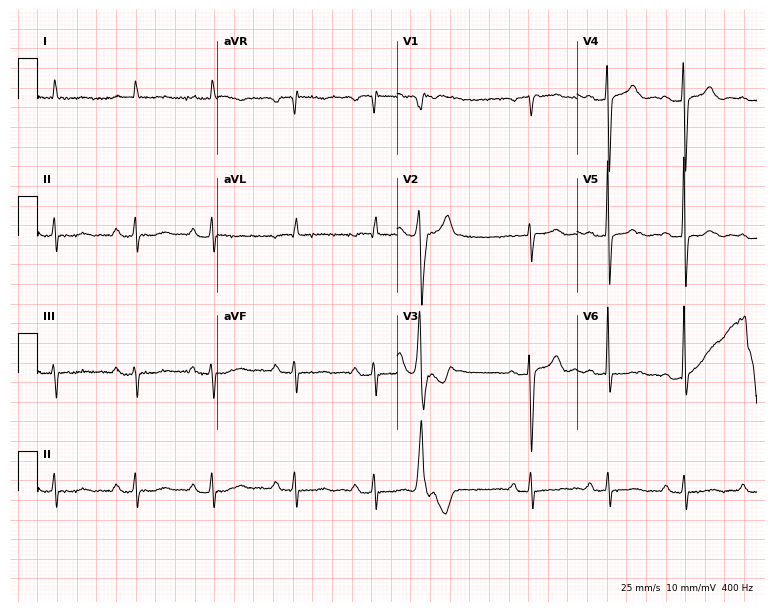
Electrocardiogram, a 77-year-old male. Of the six screened findings (first-degree AV block, right bundle branch block, left bundle branch block, sinus bradycardia, atrial fibrillation, sinus tachycardia), none is recorded.